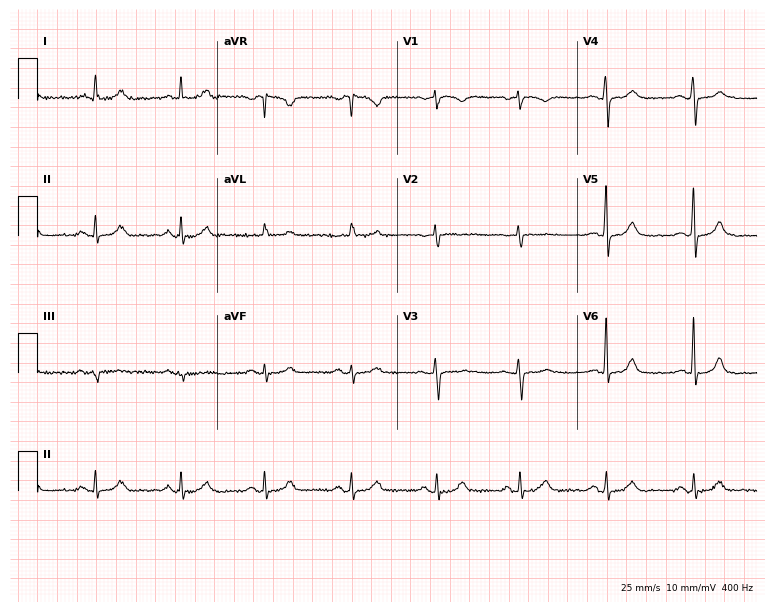
Resting 12-lead electrocardiogram. Patient: a 76-year-old female. None of these six findings is recorded: first-degree AV block, right bundle branch block, left bundle branch block, sinus bradycardia, atrial fibrillation, sinus tachycardia. Other findings, if any, are not listed.